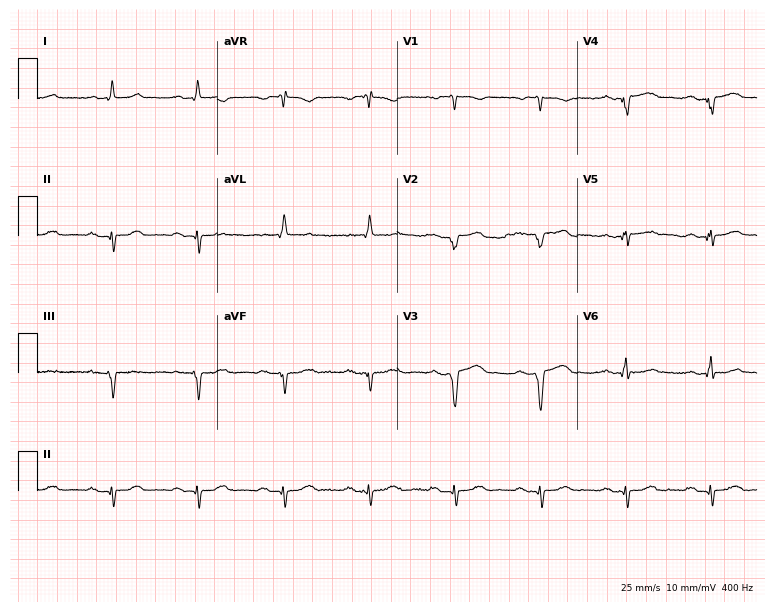
Electrocardiogram (7.3-second recording at 400 Hz), a man, 64 years old. Of the six screened findings (first-degree AV block, right bundle branch block, left bundle branch block, sinus bradycardia, atrial fibrillation, sinus tachycardia), none is recorded. Other findings, if any, are not listed.